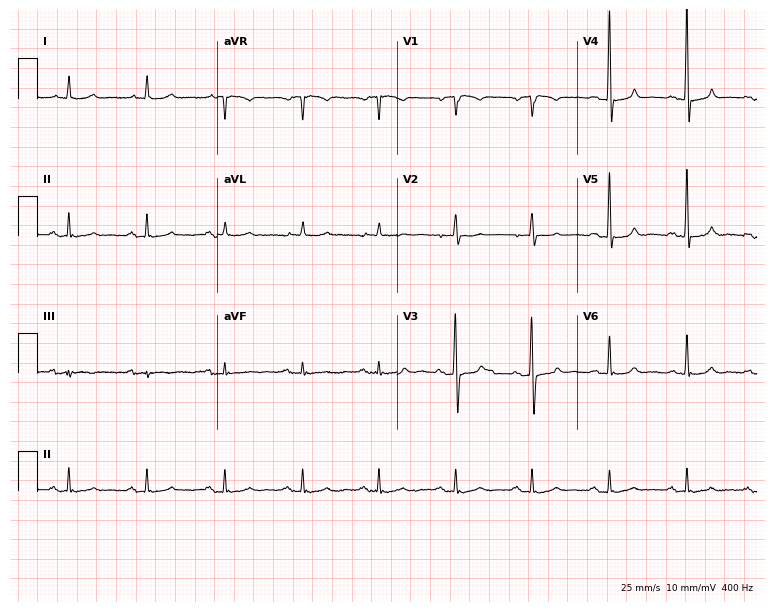
Resting 12-lead electrocardiogram. Patient: a male, 81 years old. Read as a normal ECG.